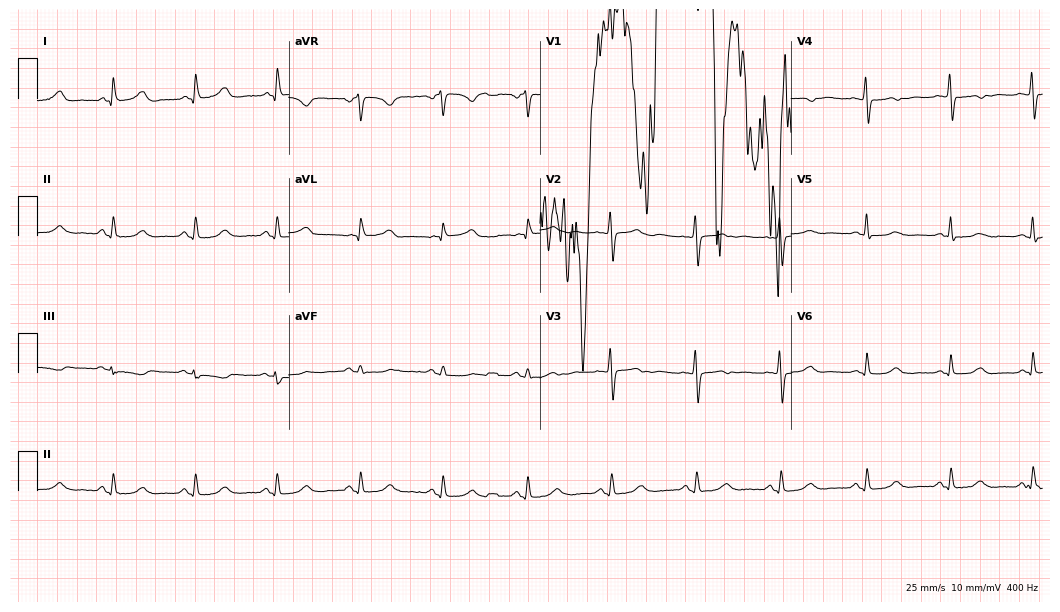
12-lead ECG from a woman, 48 years old (10.2-second recording at 400 Hz). No first-degree AV block, right bundle branch block, left bundle branch block, sinus bradycardia, atrial fibrillation or sinus tachycardia recorded for this tracing.